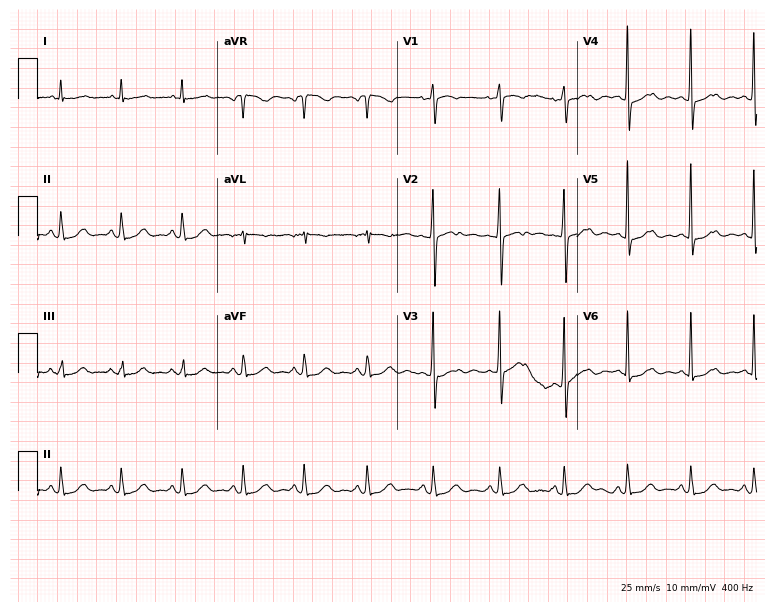
12-lead ECG from a female, 66 years old (7.3-second recording at 400 Hz). No first-degree AV block, right bundle branch block, left bundle branch block, sinus bradycardia, atrial fibrillation or sinus tachycardia recorded for this tracing.